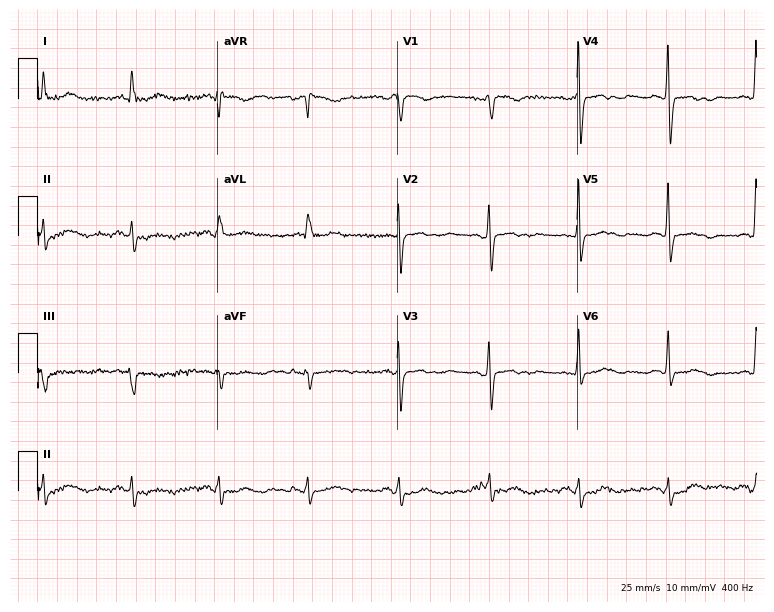
Electrocardiogram, a 74-year-old female. Of the six screened findings (first-degree AV block, right bundle branch block, left bundle branch block, sinus bradycardia, atrial fibrillation, sinus tachycardia), none is recorded. Findings outside these six are not listed.